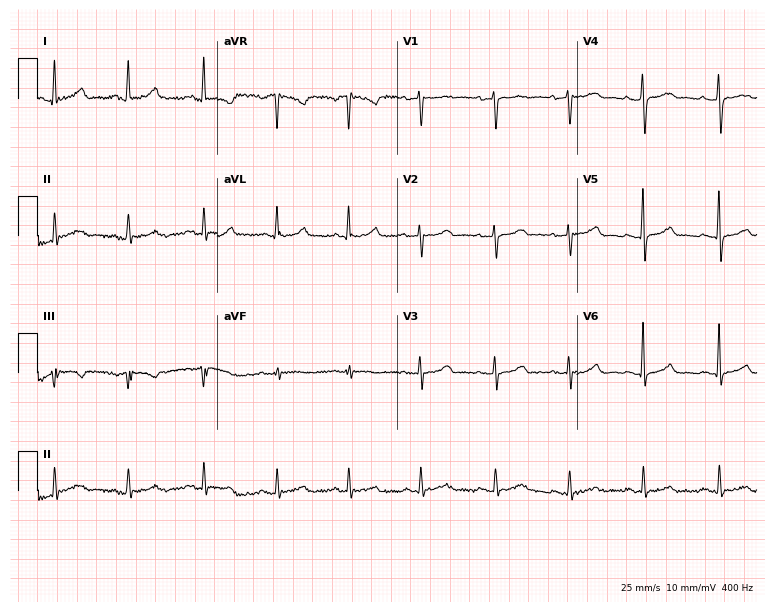
ECG (7.3-second recording at 400 Hz) — a female patient, 32 years old. Screened for six findings — first-degree AV block, right bundle branch block (RBBB), left bundle branch block (LBBB), sinus bradycardia, atrial fibrillation (AF), sinus tachycardia — none is recorded. Findings outside these six are not listed.